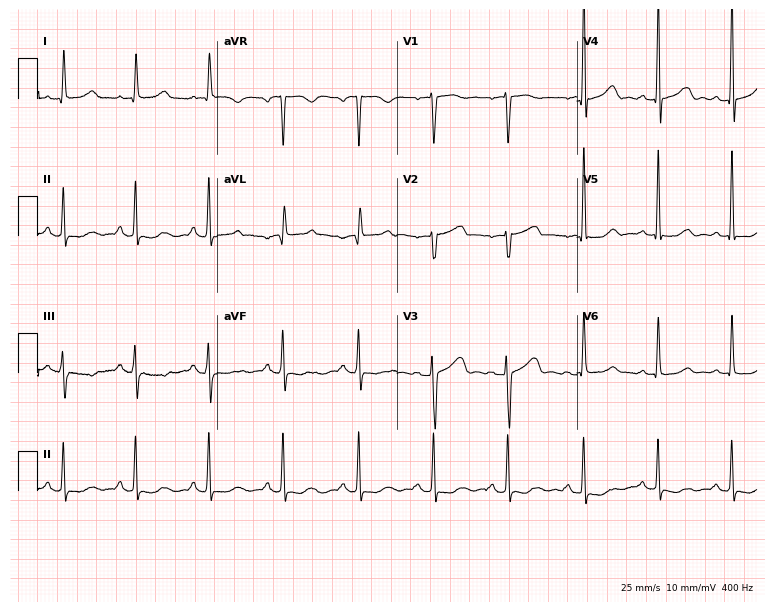
12-lead ECG from a 69-year-old woman (7.3-second recording at 400 Hz). Recorded interpretation: within normal limits.